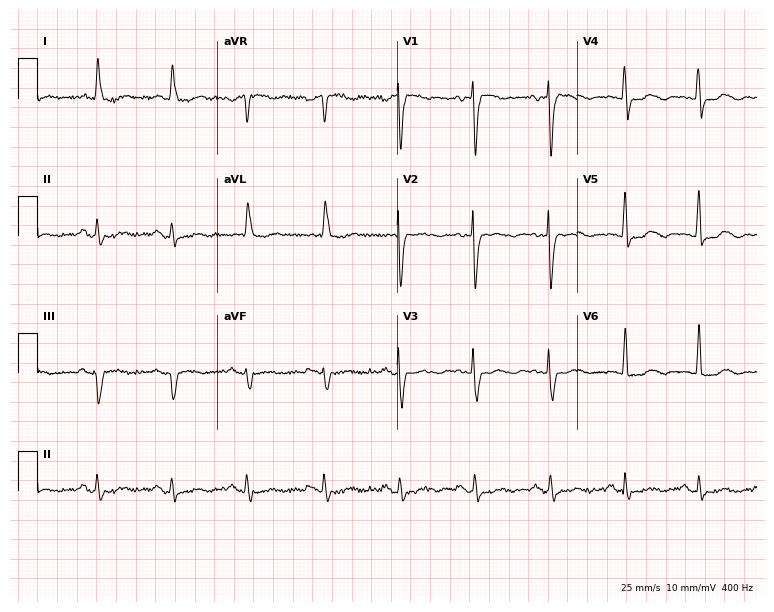
ECG — an 81-year-old female patient. Screened for six findings — first-degree AV block, right bundle branch block, left bundle branch block, sinus bradycardia, atrial fibrillation, sinus tachycardia — none is recorded.